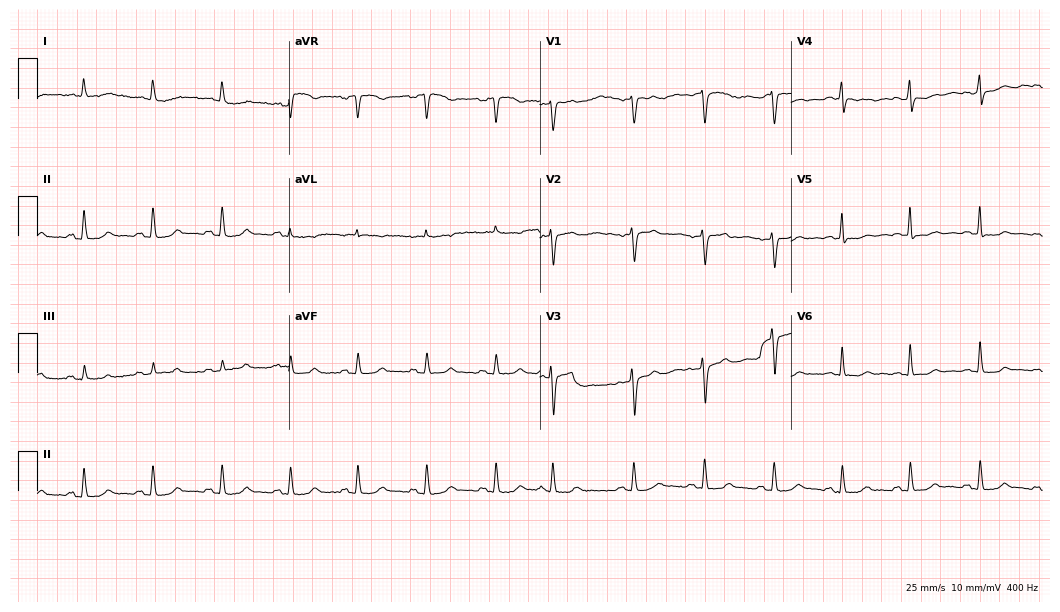
ECG (10.2-second recording at 400 Hz) — a 68-year-old female patient. Screened for six findings — first-degree AV block, right bundle branch block (RBBB), left bundle branch block (LBBB), sinus bradycardia, atrial fibrillation (AF), sinus tachycardia — none is recorded. Only these six findings were labelled.